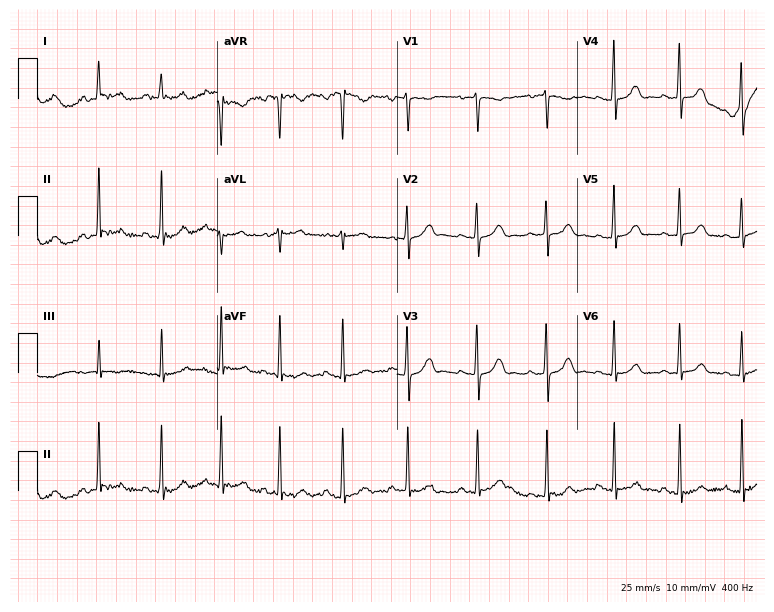
Electrocardiogram (7.3-second recording at 400 Hz), a 21-year-old woman. Of the six screened findings (first-degree AV block, right bundle branch block, left bundle branch block, sinus bradycardia, atrial fibrillation, sinus tachycardia), none is recorded. Findings outside these six are not listed.